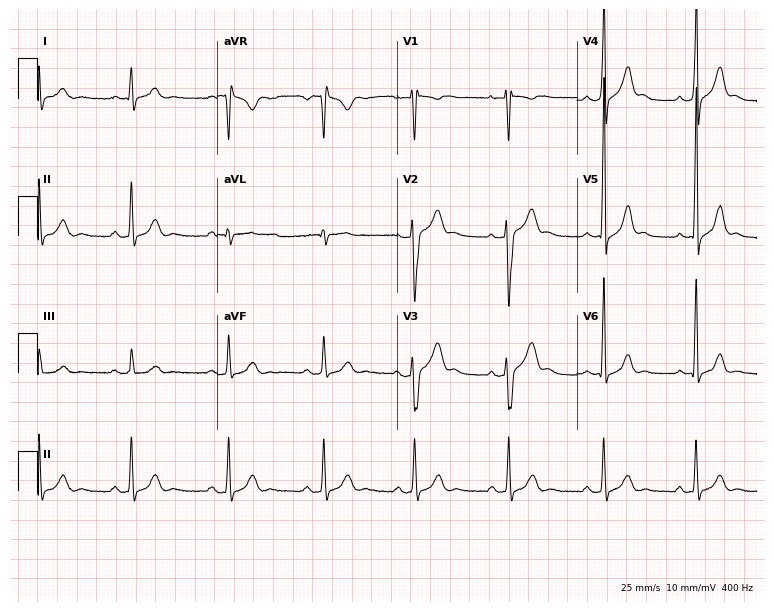
Electrocardiogram, a 37-year-old male patient. Of the six screened findings (first-degree AV block, right bundle branch block, left bundle branch block, sinus bradycardia, atrial fibrillation, sinus tachycardia), none is recorded.